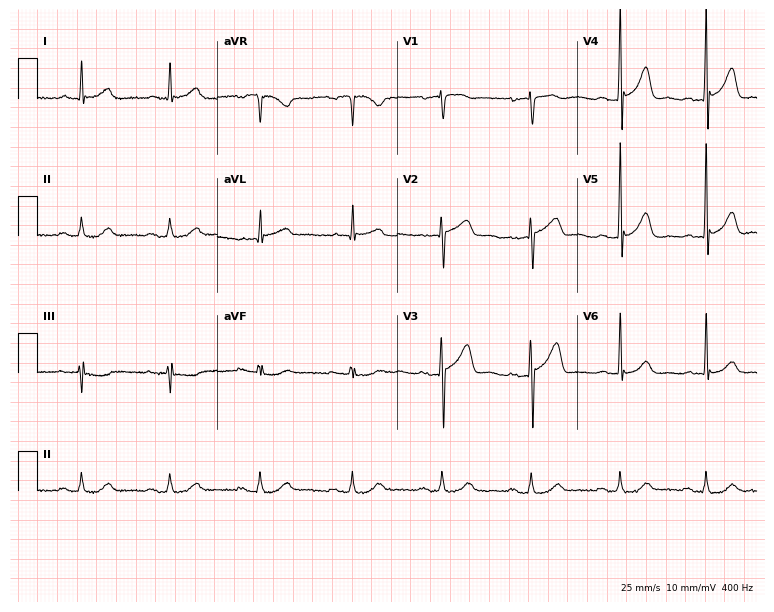
Electrocardiogram (7.3-second recording at 400 Hz), a man, 64 years old. Overall reading on record: normal ECG.